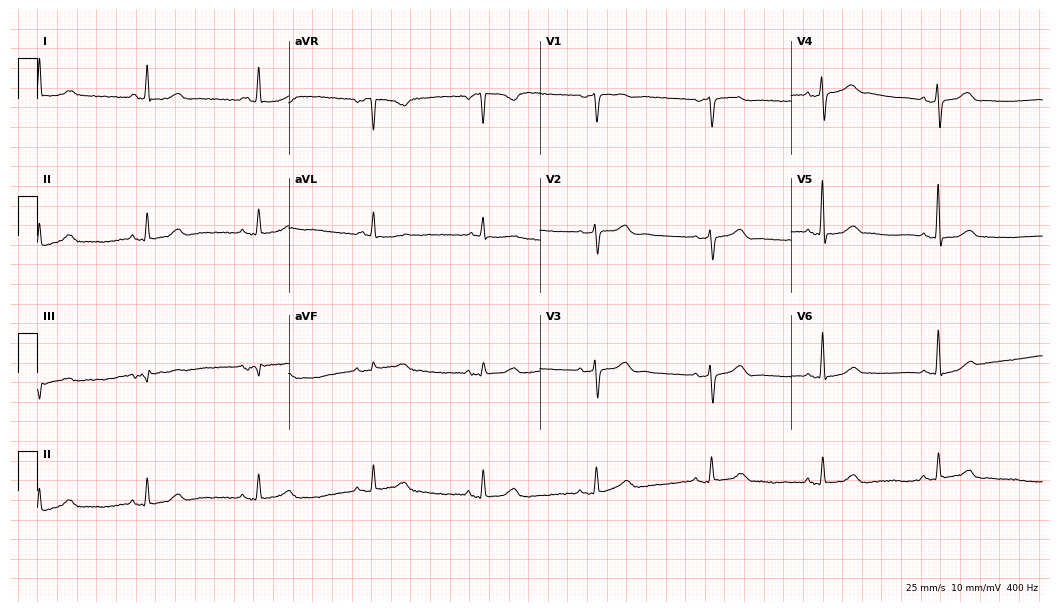
Electrocardiogram (10.2-second recording at 400 Hz), a female, 68 years old. Overall reading on record: normal ECG.